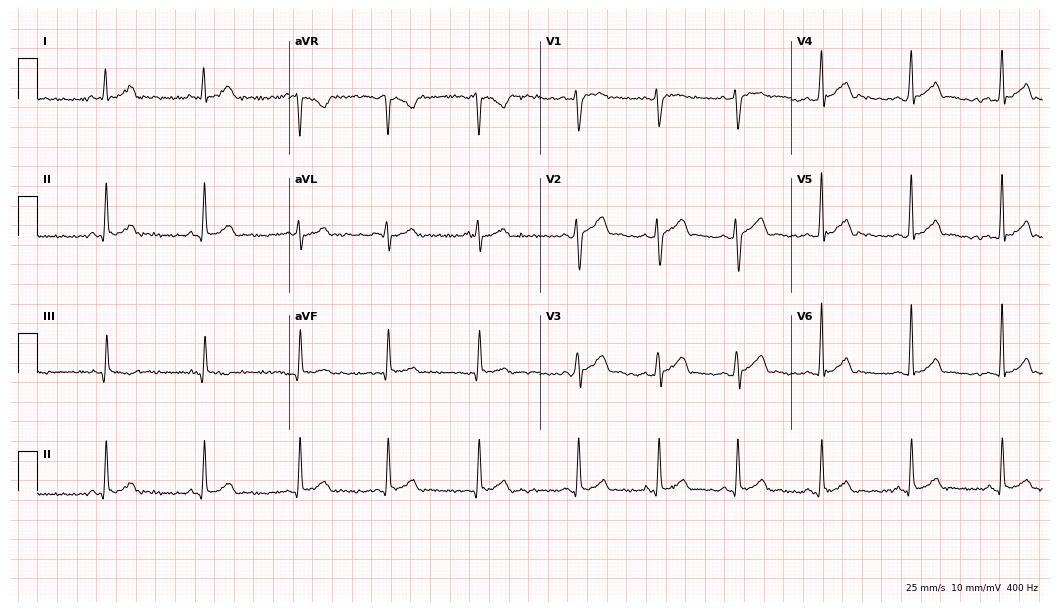
12-lead ECG from a male, 21 years old. Recorded interpretation: within normal limits.